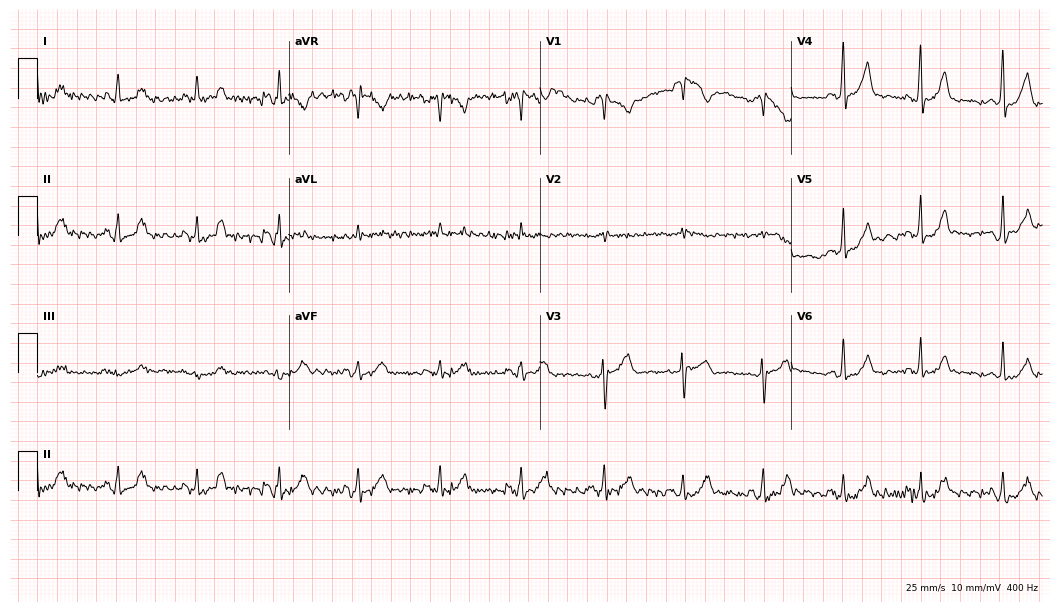
Electrocardiogram (10.2-second recording at 400 Hz), a 46-year-old female. Overall reading on record: normal ECG.